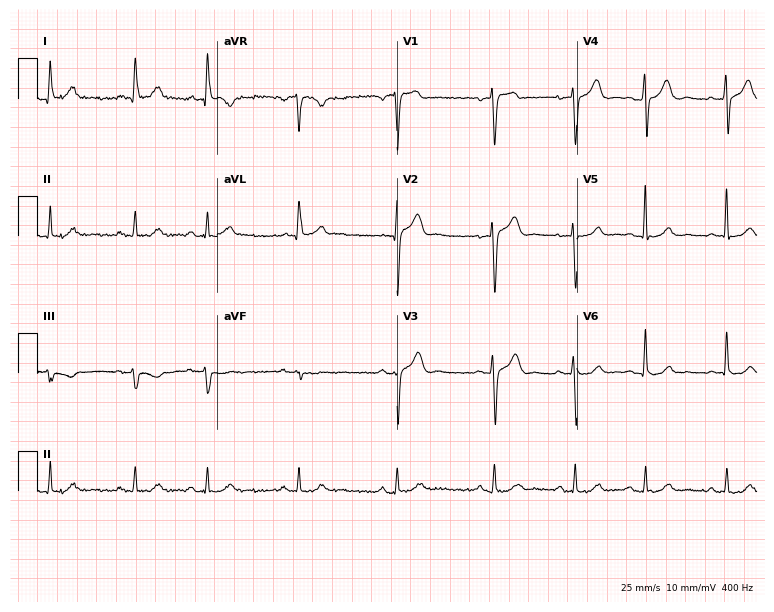
Standard 12-lead ECG recorded from a 61-year-old male patient. None of these six findings is recorded: first-degree AV block, right bundle branch block, left bundle branch block, sinus bradycardia, atrial fibrillation, sinus tachycardia. Only these six findings were labelled.